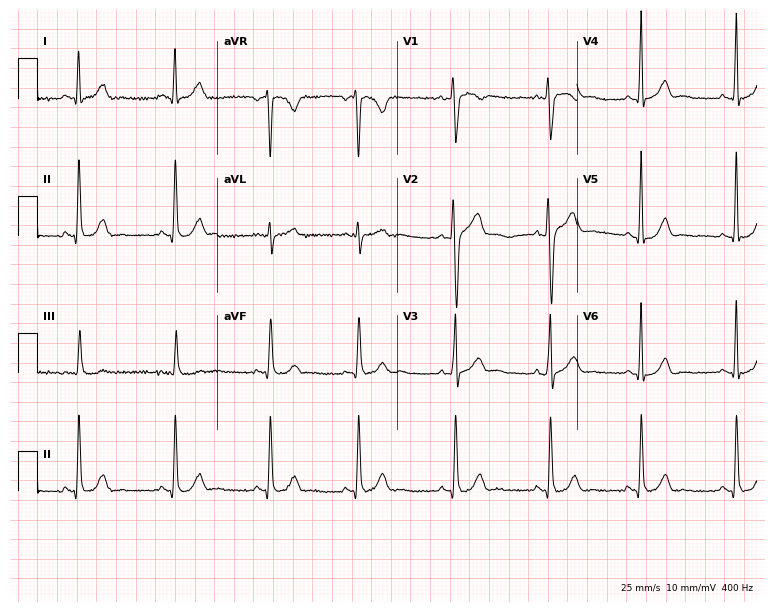
12-lead ECG from a male patient, 42 years old. Labelled as a normal ECG.